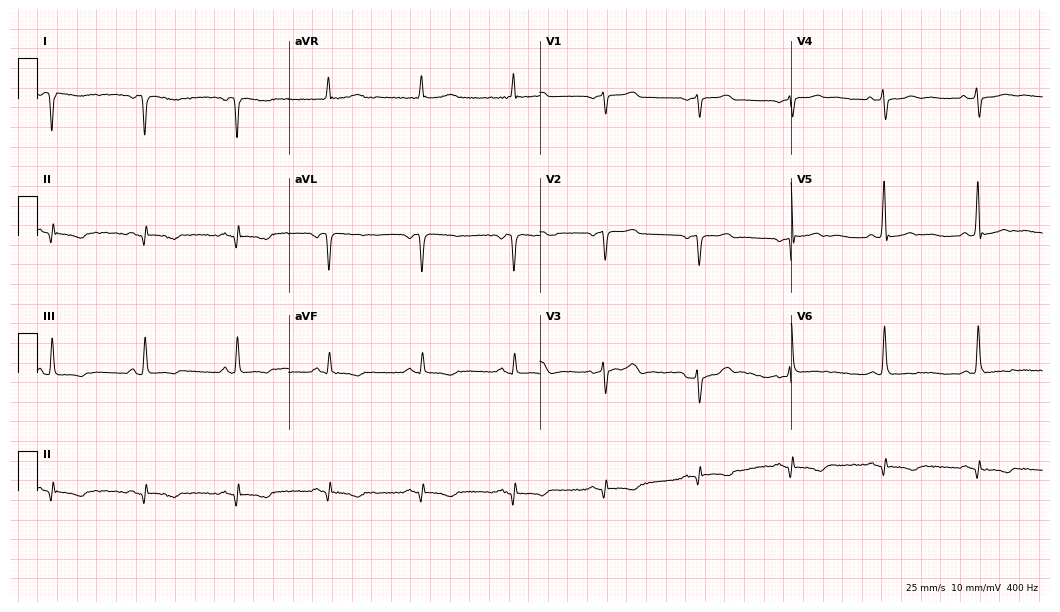
12-lead ECG from a 60-year-old female patient. No first-degree AV block, right bundle branch block, left bundle branch block, sinus bradycardia, atrial fibrillation or sinus tachycardia recorded for this tracing.